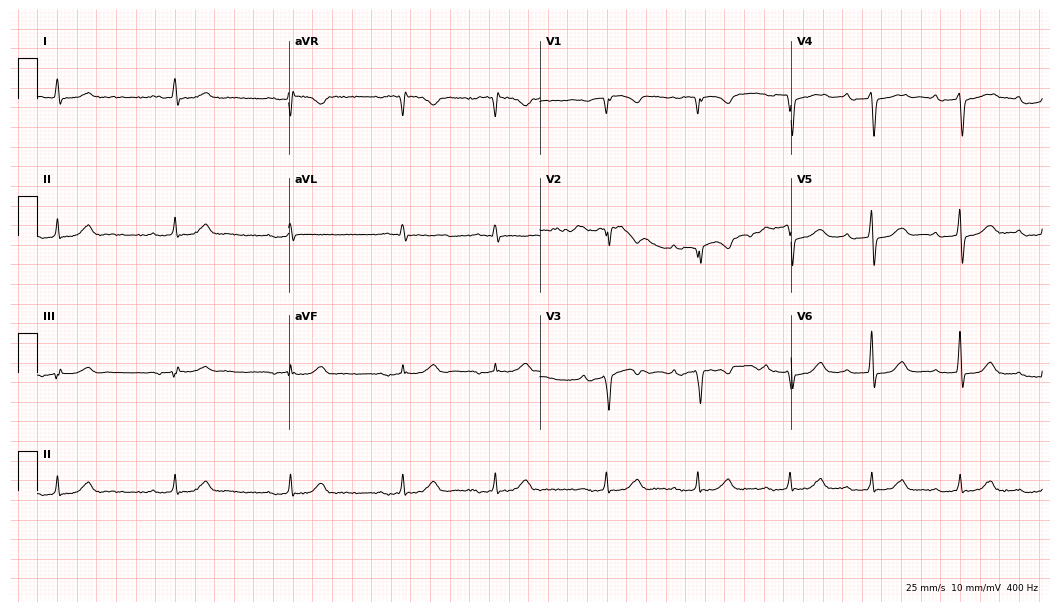
Resting 12-lead electrocardiogram. Patient: a male, 80 years old. The tracing shows first-degree AV block.